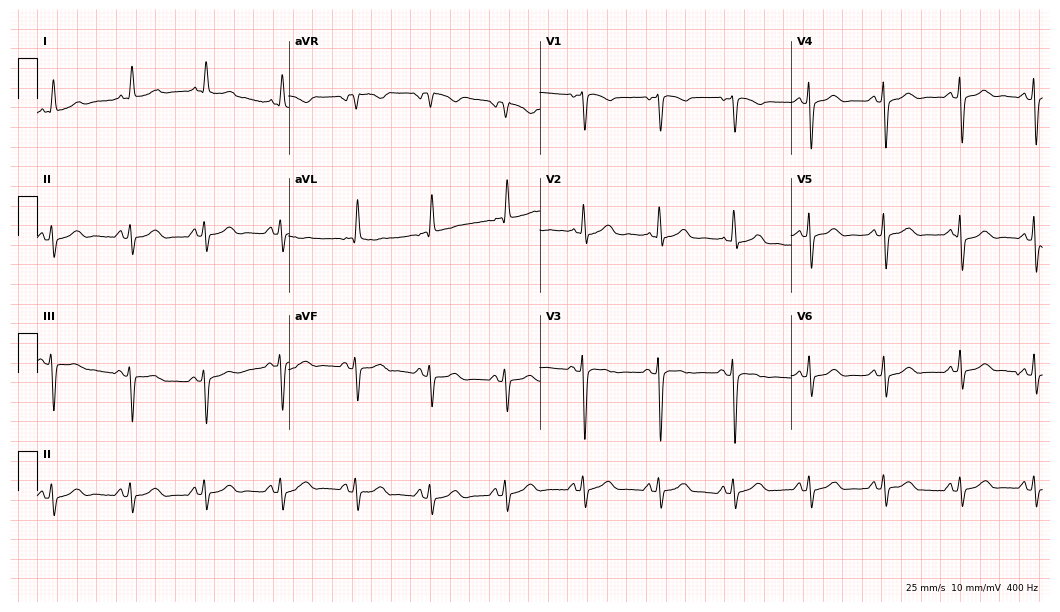
12-lead ECG from a 79-year-old female. Recorded interpretation: within normal limits.